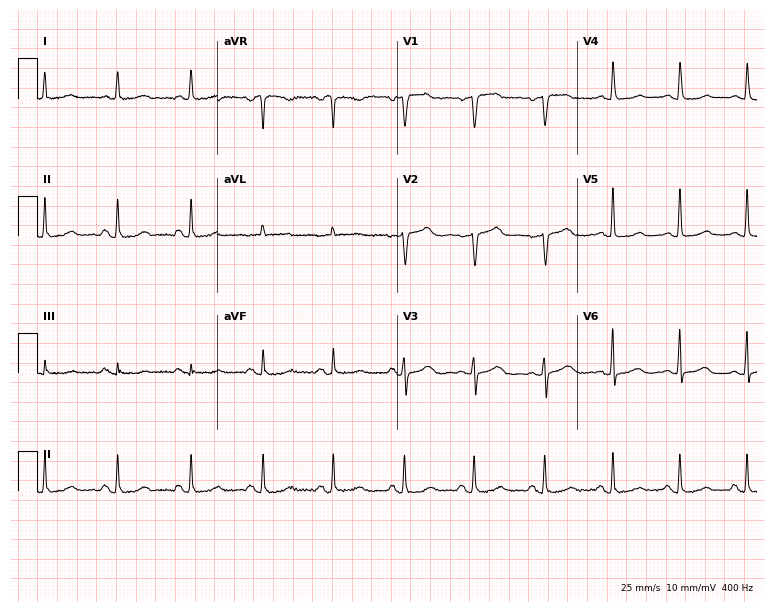
Resting 12-lead electrocardiogram (7.3-second recording at 400 Hz). Patient: a female, 63 years old. None of these six findings is recorded: first-degree AV block, right bundle branch block, left bundle branch block, sinus bradycardia, atrial fibrillation, sinus tachycardia. Findings outside these six are not listed.